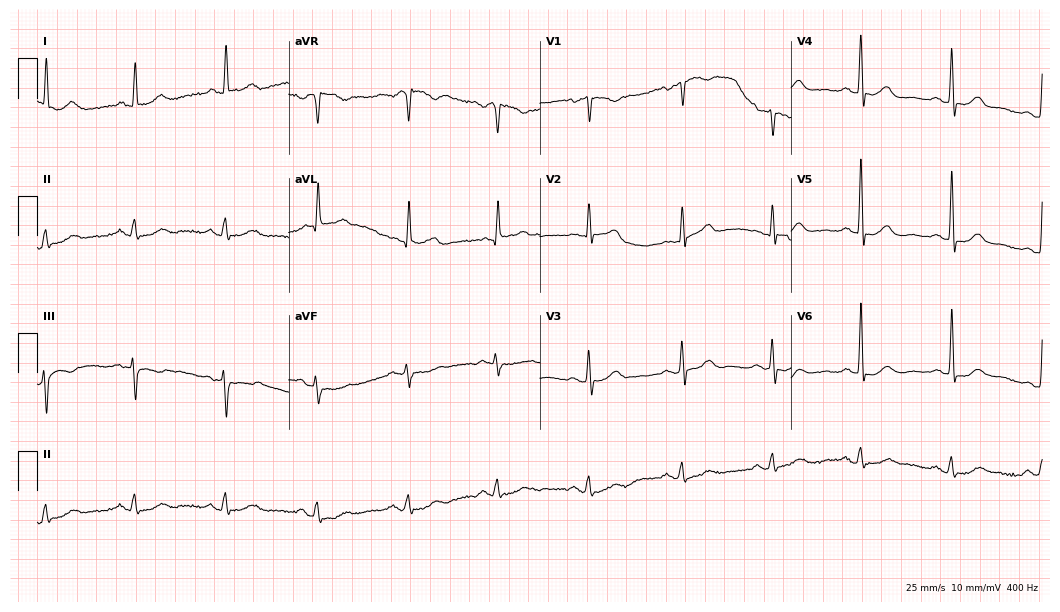
Resting 12-lead electrocardiogram. Patient: an 80-year-old female. Read as a normal ECG.